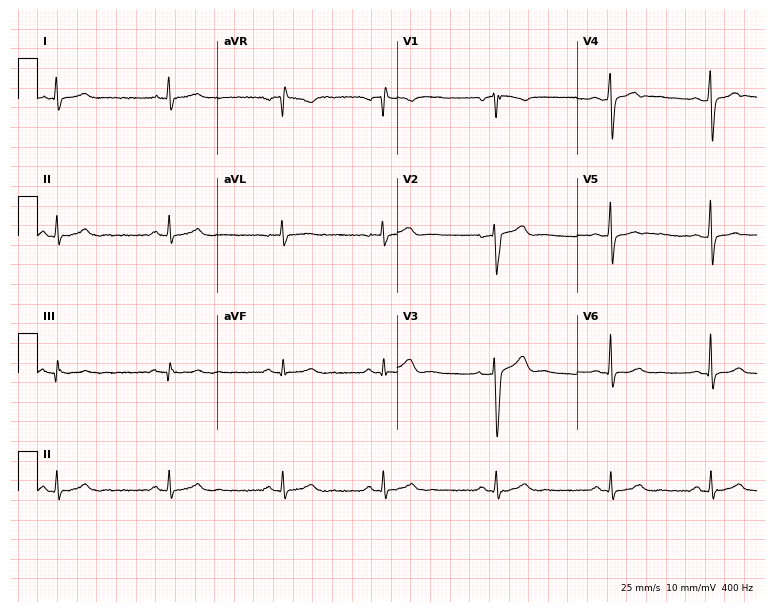
Standard 12-lead ECG recorded from a 39-year-old man. Read as a normal ECG.